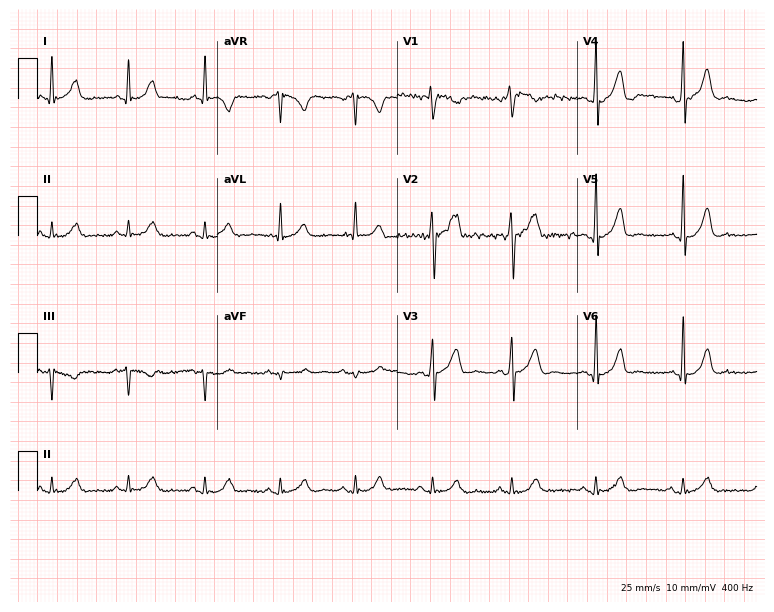
ECG (7.3-second recording at 400 Hz) — a male patient, 48 years old. Labelled as a normal ECG.